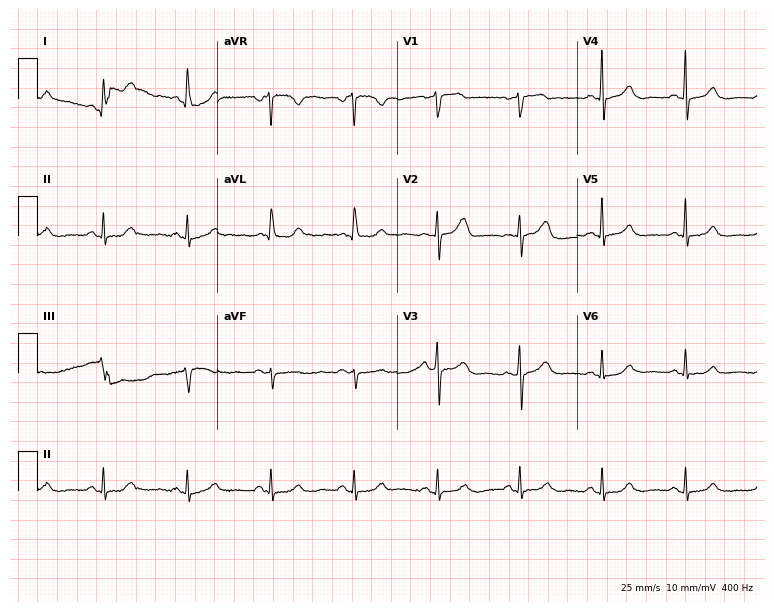
12-lead ECG from a 74-year-old female (7.3-second recording at 400 Hz). Recorded interpretation: within normal limits.